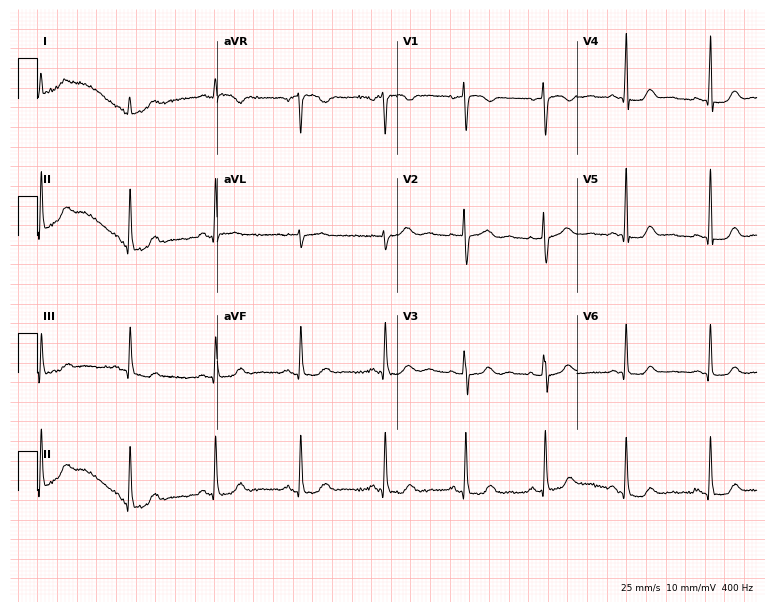
ECG (7.3-second recording at 400 Hz) — a 50-year-old female patient. Labelled as a normal ECG.